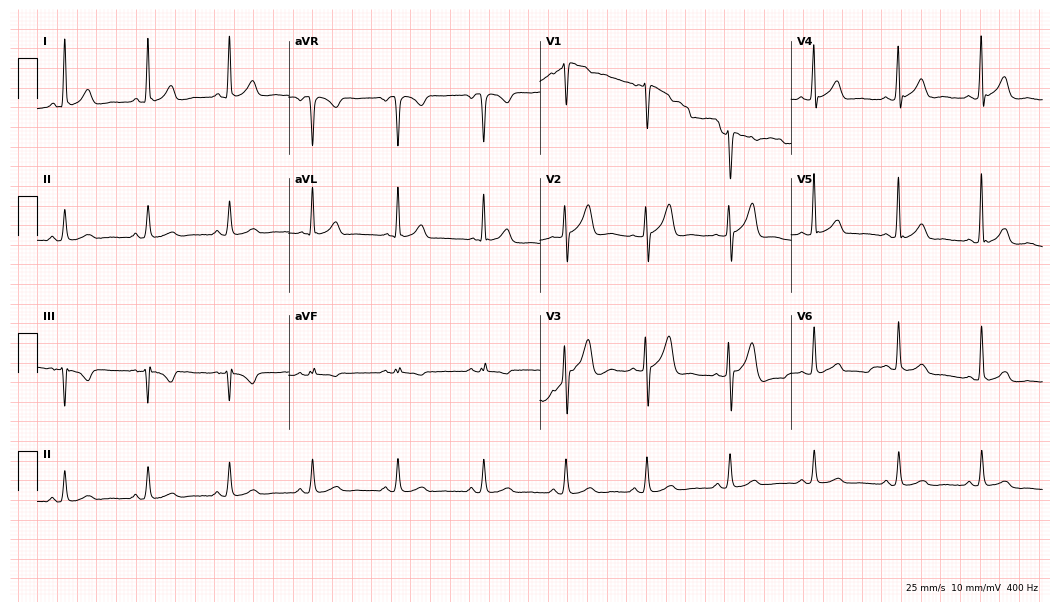
ECG — a man, 53 years old. Labelled as a normal ECG.